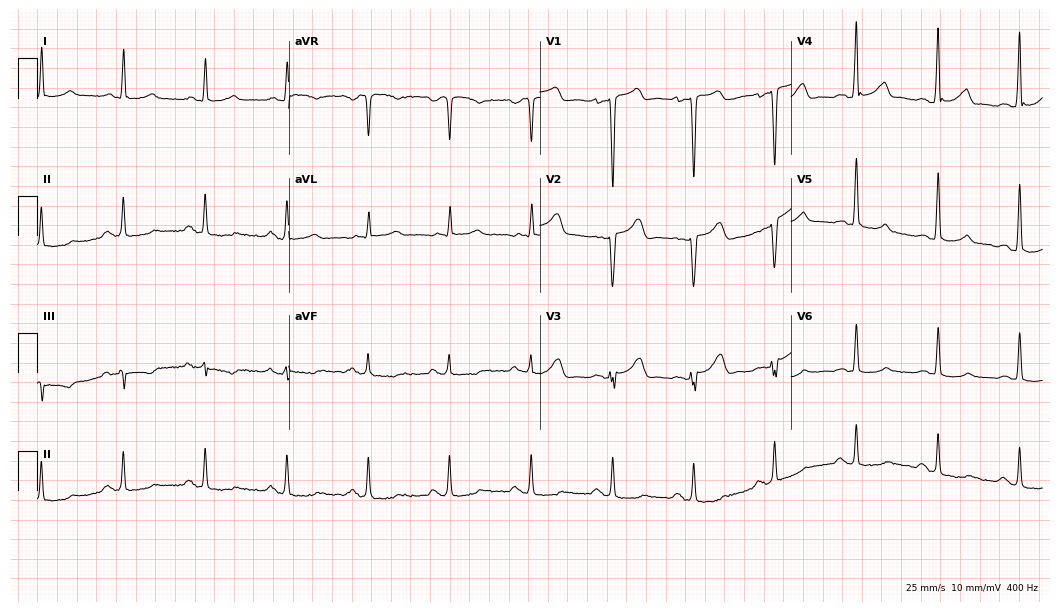
12-lead ECG from a 66-year-old male. No first-degree AV block, right bundle branch block (RBBB), left bundle branch block (LBBB), sinus bradycardia, atrial fibrillation (AF) or sinus tachycardia recorded for this tracing.